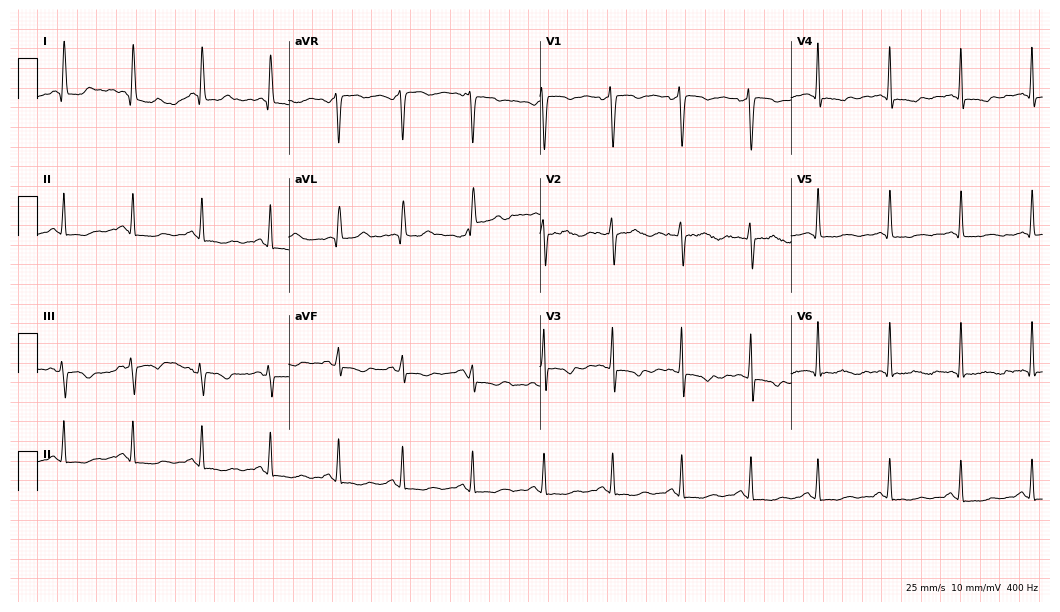
12-lead ECG from a female patient, 46 years old (10.2-second recording at 400 Hz). No first-degree AV block, right bundle branch block, left bundle branch block, sinus bradycardia, atrial fibrillation or sinus tachycardia recorded for this tracing. Findings outside these six are not listed.